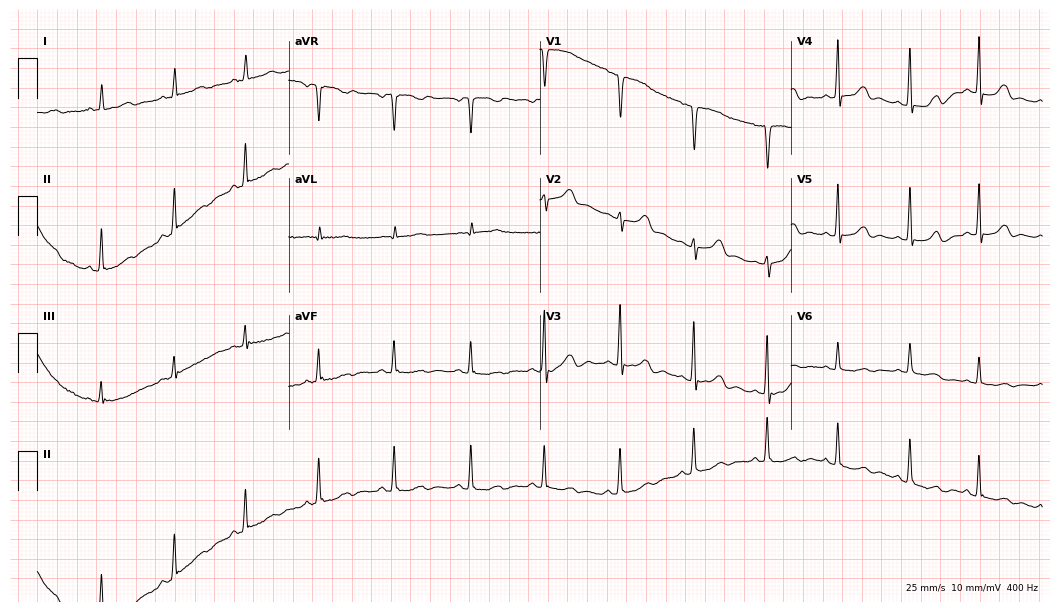
ECG — a female patient, 35 years old. Screened for six findings — first-degree AV block, right bundle branch block, left bundle branch block, sinus bradycardia, atrial fibrillation, sinus tachycardia — none is recorded. Only these six findings were labelled.